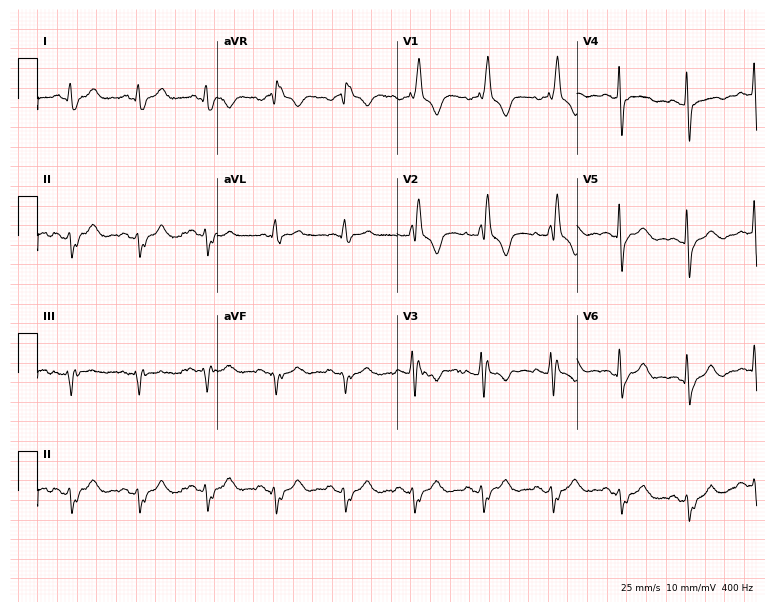
Standard 12-lead ECG recorded from a 65-year-old man (7.3-second recording at 400 Hz). None of these six findings is recorded: first-degree AV block, right bundle branch block, left bundle branch block, sinus bradycardia, atrial fibrillation, sinus tachycardia. Findings outside these six are not listed.